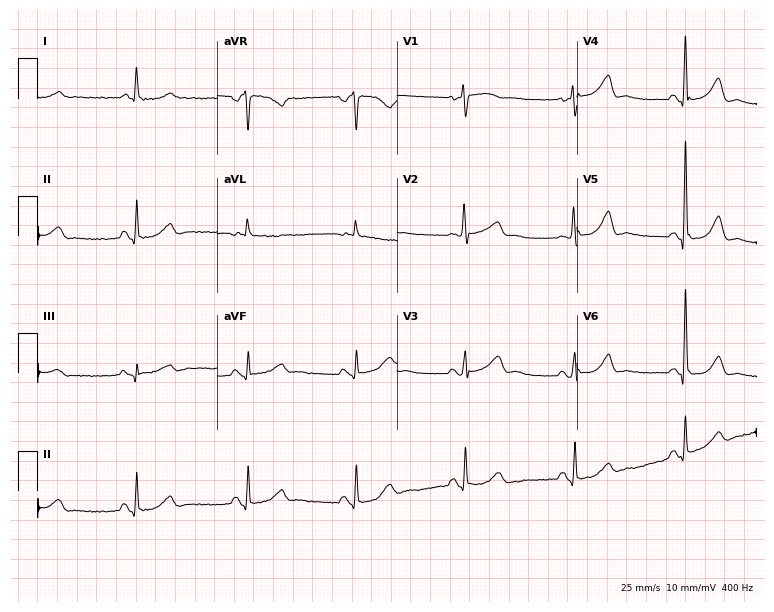
Standard 12-lead ECG recorded from a 72-year-old woman (7.3-second recording at 400 Hz). None of these six findings is recorded: first-degree AV block, right bundle branch block, left bundle branch block, sinus bradycardia, atrial fibrillation, sinus tachycardia. Only these six findings were labelled.